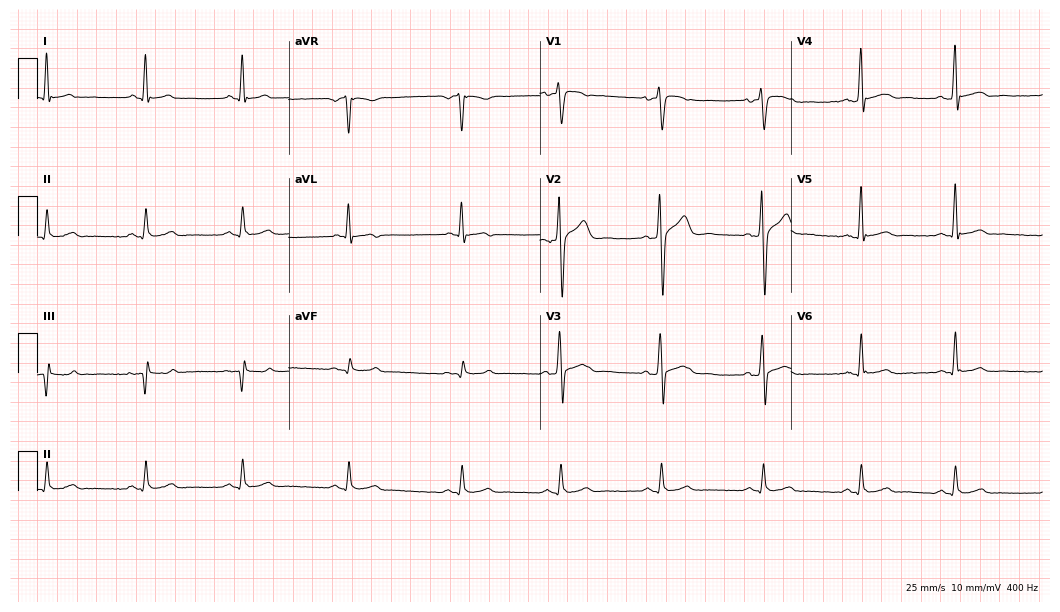
12-lead ECG from a male, 34 years old. Recorded interpretation: within normal limits.